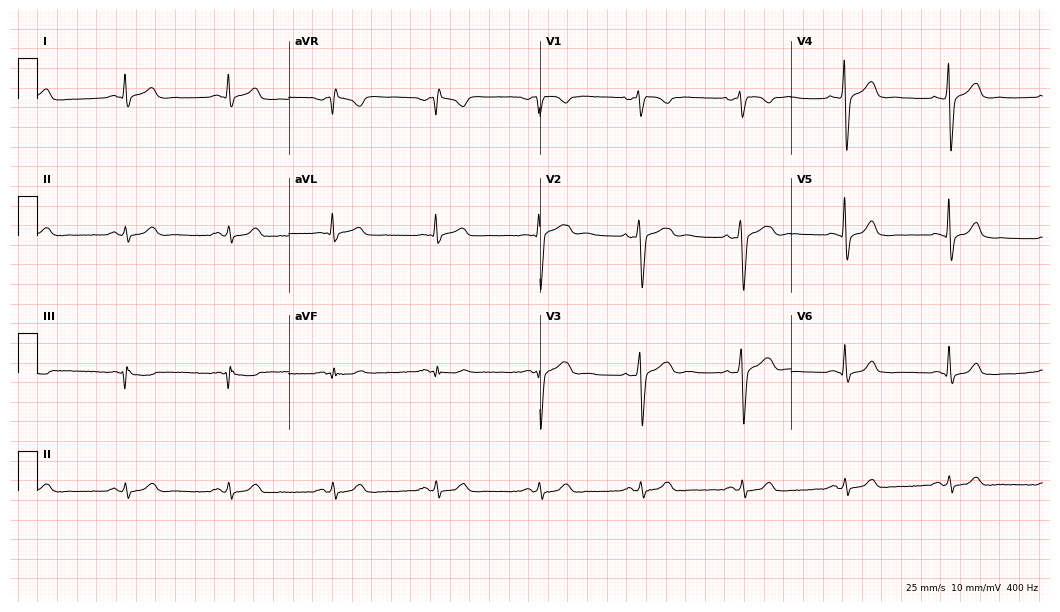
ECG — a 46-year-old man. Screened for six findings — first-degree AV block, right bundle branch block, left bundle branch block, sinus bradycardia, atrial fibrillation, sinus tachycardia — none is recorded.